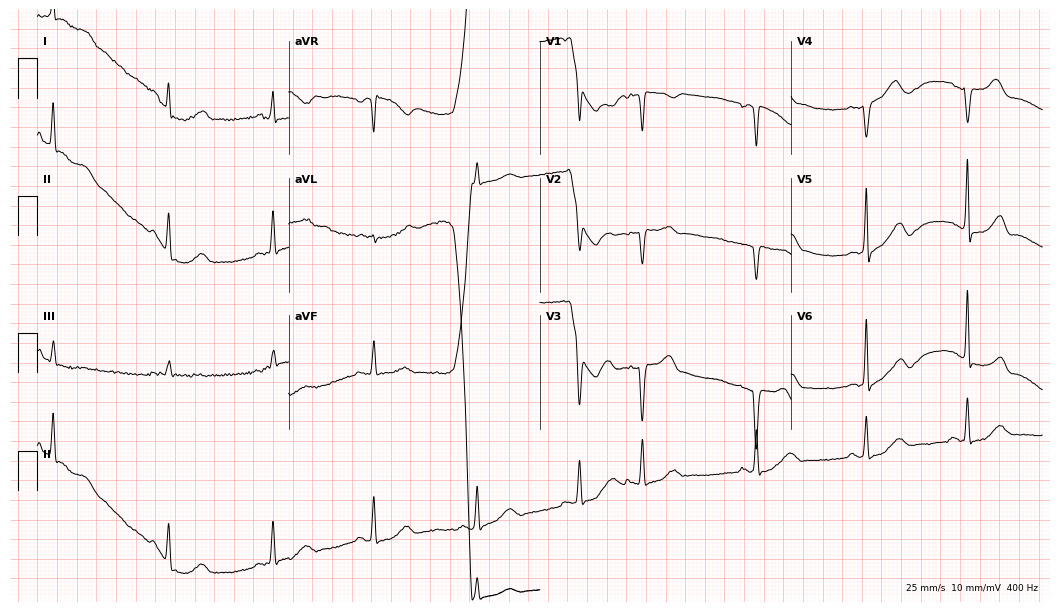
12-lead ECG from a 73-year-old woman (10.2-second recording at 400 Hz). No first-degree AV block, right bundle branch block (RBBB), left bundle branch block (LBBB), sinus bradycardia, atrial fibrillation (AF) or sinus tachycardia recorded for this tracing. Other findings, if any, are not listed.